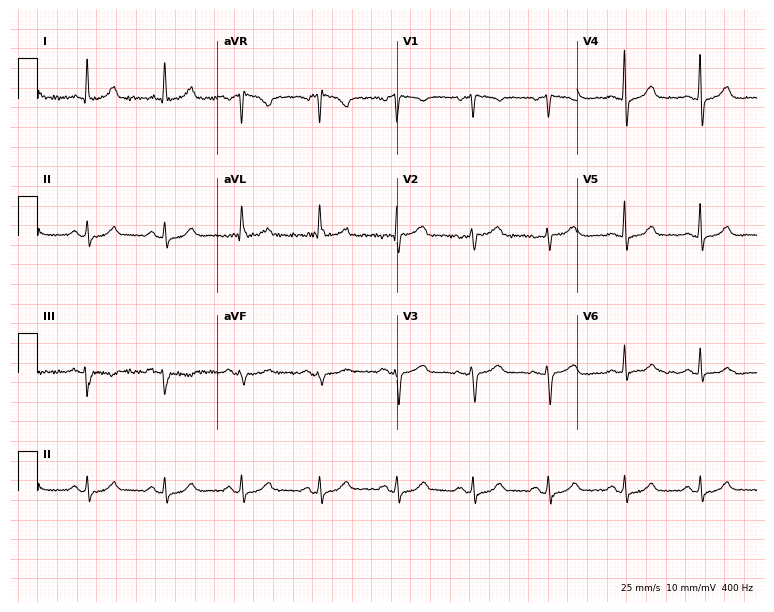
ECG (7.3-second recording at 400 Hz) — a 73-year-old female. Labelled as a normal ECG.